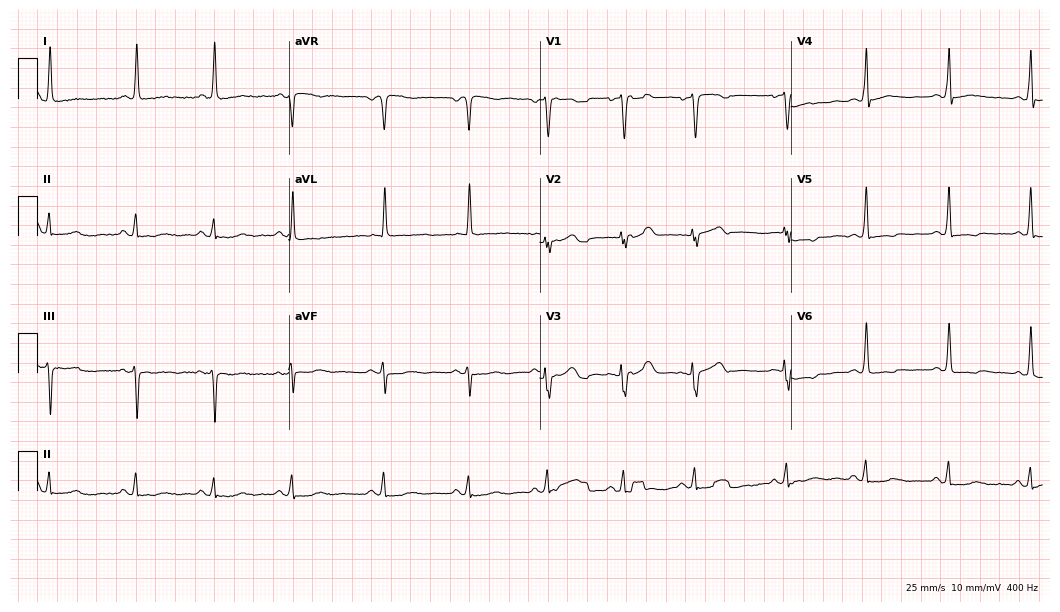
Resting 12-lead electrocardiogram (10.2-second recording at 400 Hz). Patient: a 70-year-old female. None of these six findings is recorded: first-degree AV block, right bundle branch block, left bundle branch block, sinus bradycardia, atrial fibrillation, sinus tachycardia. Only these six findings were labelled.